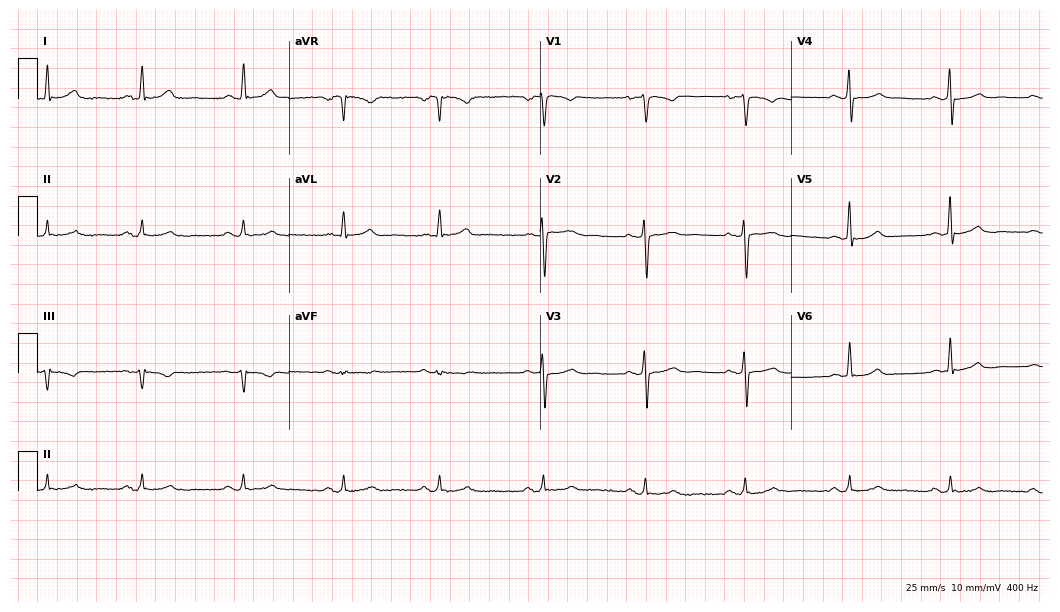
Standard 12-lead ECG recorded from a 67-year-old woman. None of these six findings is recorded: first-degree AV block, right bundle branch block, left bundle branch block, sinus bradycardia, atrial fibrillation, sinus tachycardia. Other findings, if any, are not listed.